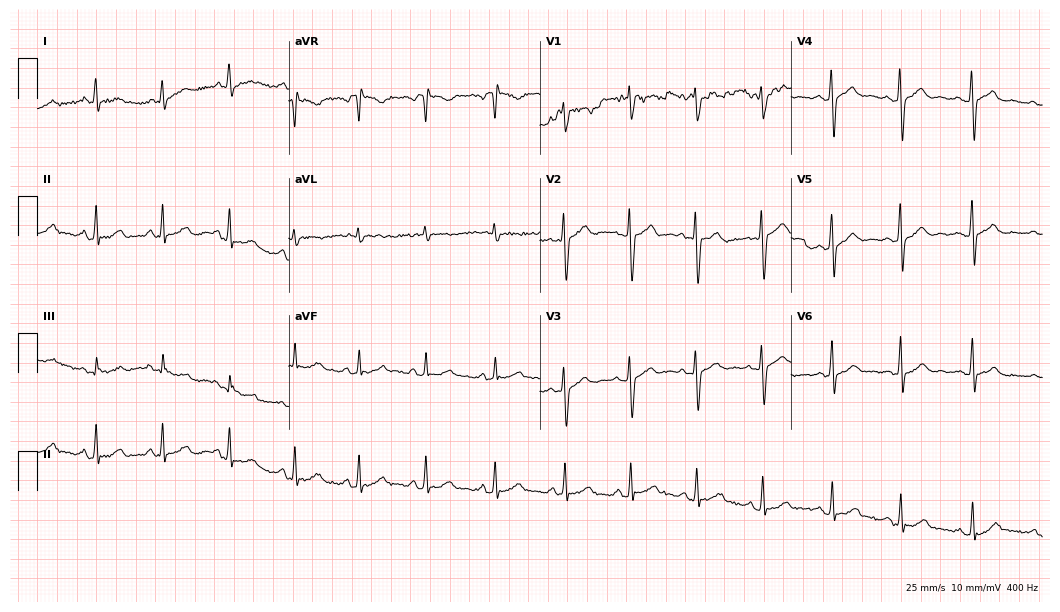
Resting 12-lead electrocardiogram. Patient: a woman, 17 years old. Read as a normal ECG.